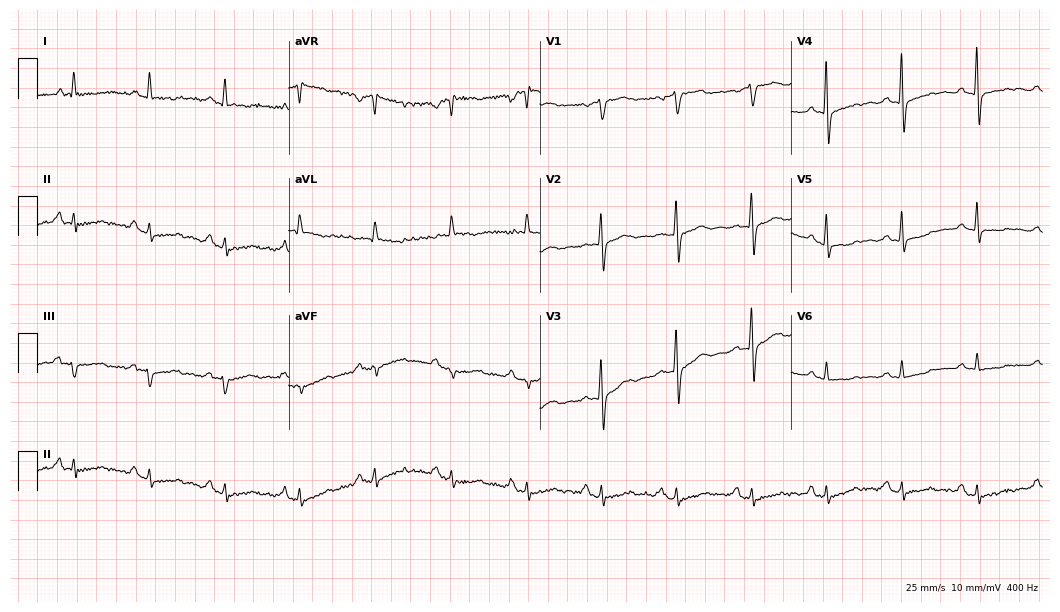
12-lead ECG from a woman, 66 years old (10.2-second recording at 400 Hz). No first-degree AV block, right bundle branch block, left bundle branch block, sinus bradycardia, atrial fibrillation or sinus tachycardia recorded for this tracing. Other findings, if any, are not listed.